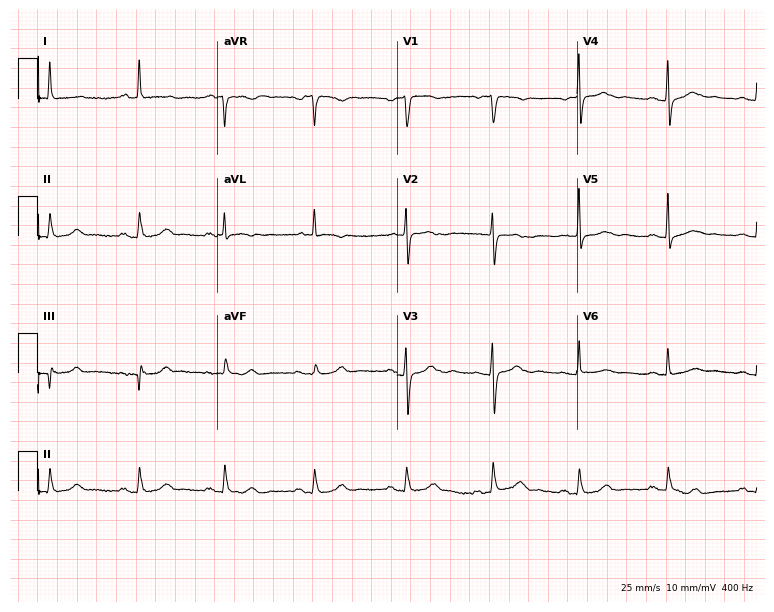
Resting 12-lead electrocardiogram (7.3-second recording at 400 Hz). Patient: a 66-year-old female. Read as a normal ECG.